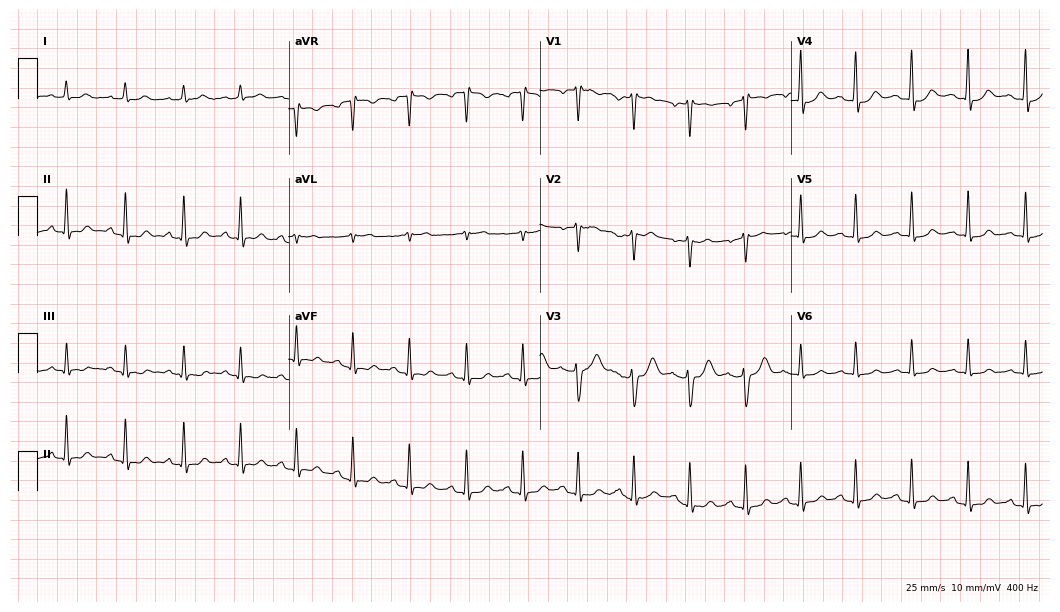
Electrocardiogram, a 26-year-old woman. Interpretation includes sinus tachycardia (a sinus rate of 100 beats per minute or more).